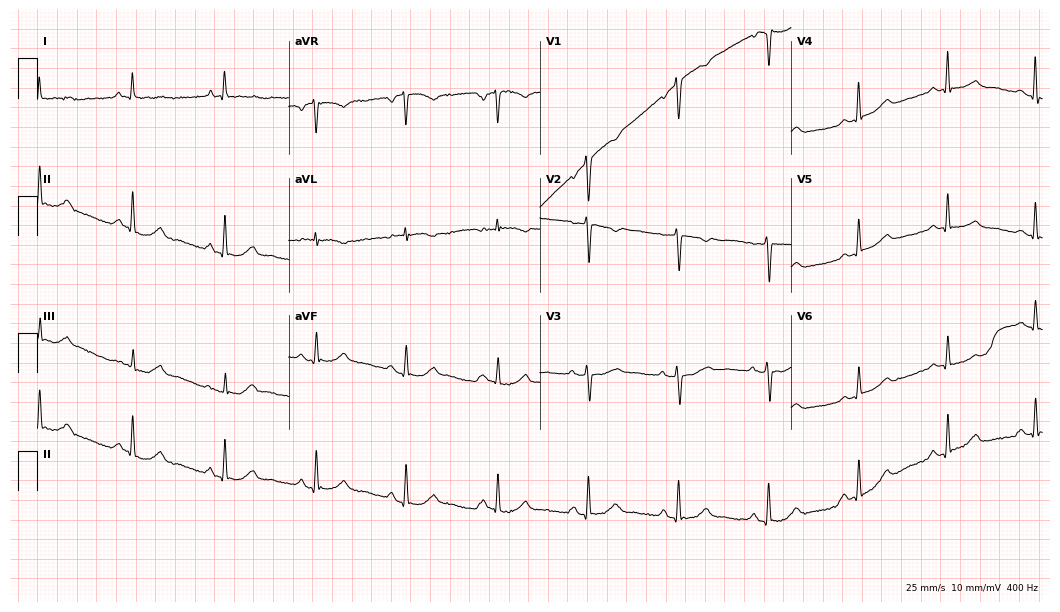
12-lead ECG (10.2-second recording at 400 Hz) from a female patient, 67 years old. Screened for six findings — first-degree AV block, right bundle branch block, left bundle branch block, sinus bradycardia, atrial fibrillation, sinus tachycardia — none is recorded.